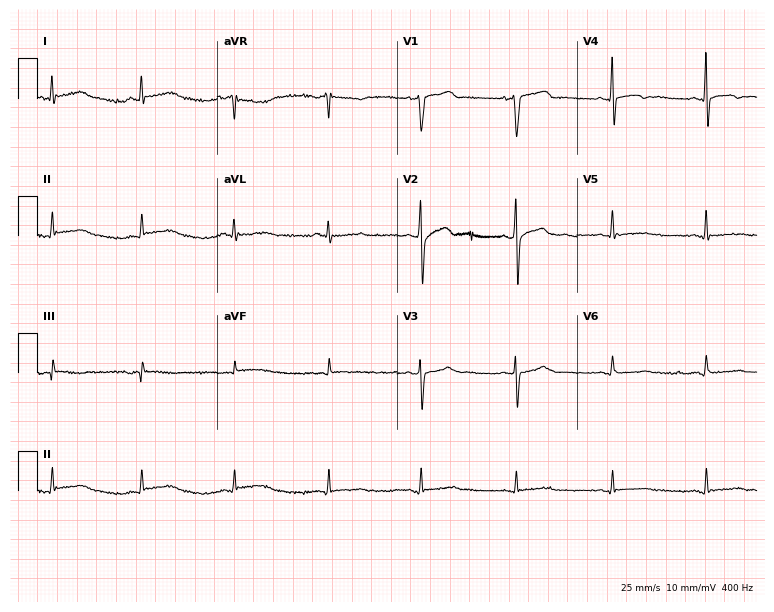
ECG (7.3-second recording at 400 Hz) — a 77-year-old woman. Labelled as a normal ECG.